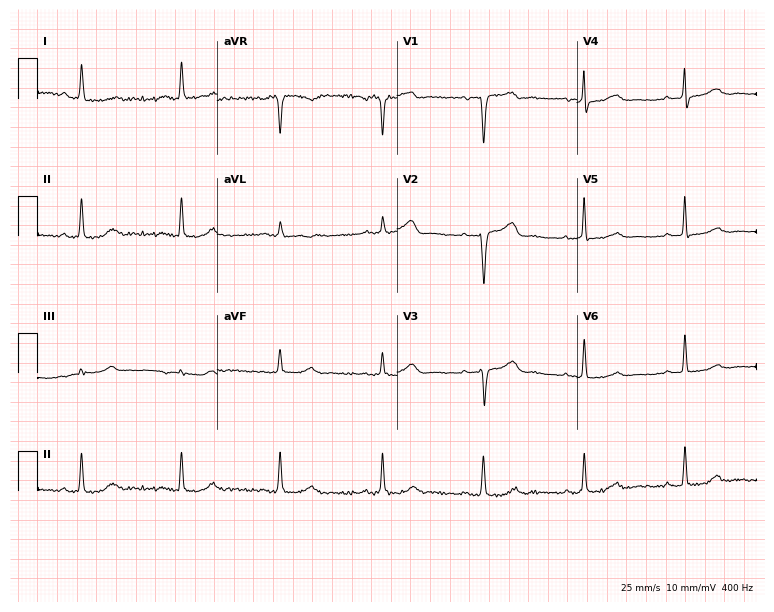
Standard 12-lead ECG recorded from a 60-year-old woman (7.3-second recording at 400 Hz). None of these six findings is recorded: first-degree AV block, right bundle branch block, left bundle branch block, sinus bradycardia, atrial fibrillation, sinus tachycardia.